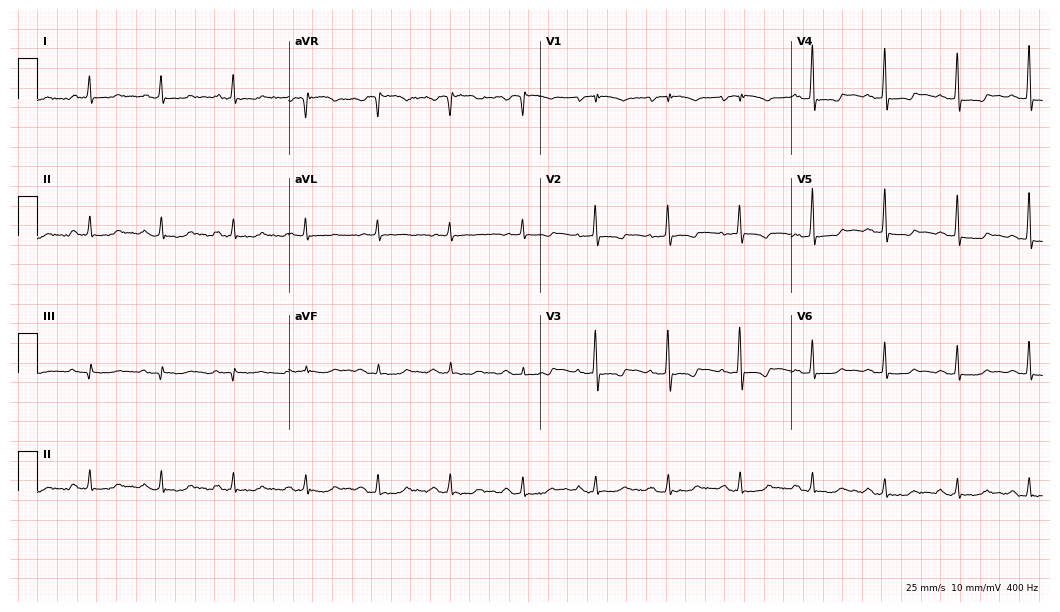
12-lead ECG (10.2-second recording at 400 Hz) from a female patient, 69 years old. Screened for six findings — first-degree AV block, right bundle branch block, left bundle branch block, sinus bradycardia, atrial fibrillation, sinus tachycardia — none is recorded.